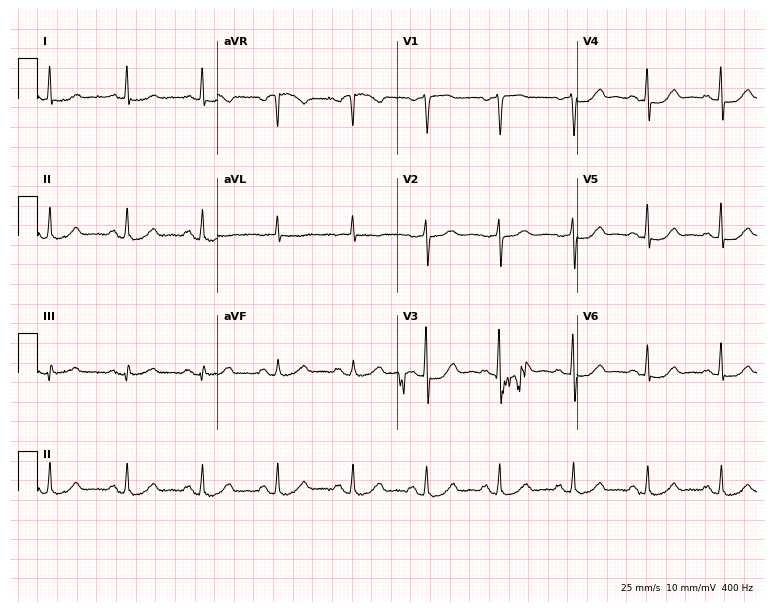
ECG (7.3-second recording at 400 Hz) — a 57-year-old female. Screened for six findings — first-degree AV block, right bundle branch block, left bundle branch block, sinus bradycardia, atrial fibrillation, sinus tachycardia — none is recorded. Findings outside these six are not listed.